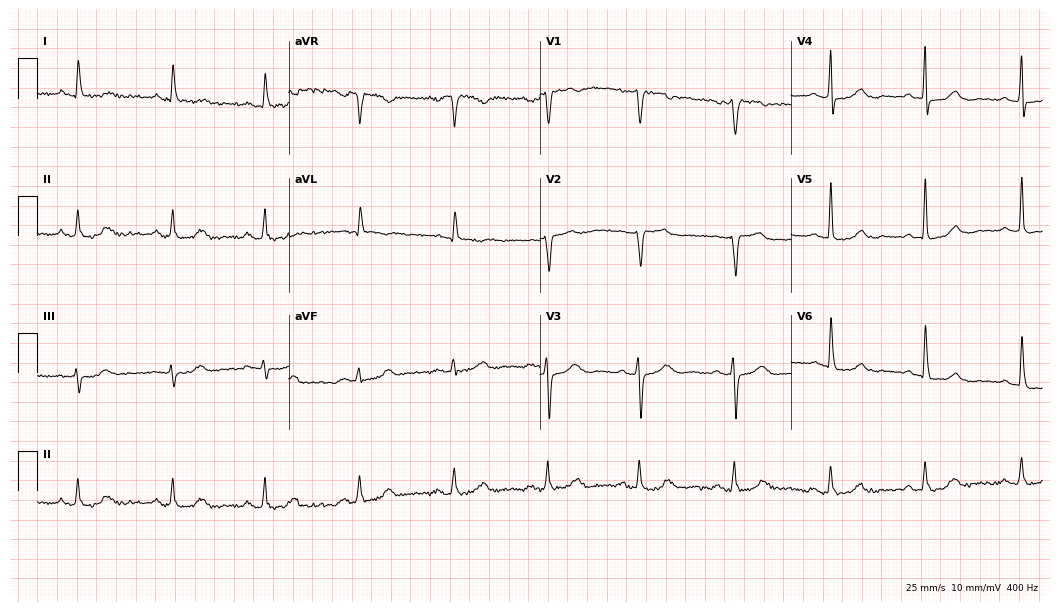
12-lead ECG (10.2-second recording at 400 Hz) from a female patient, 64 years old. Screened for six findings — first-degree AV block, right bundle branch block, left bundle branch block, sinus bradycardia, atrial fibrillation, sinus tachycardia — none is recorded.